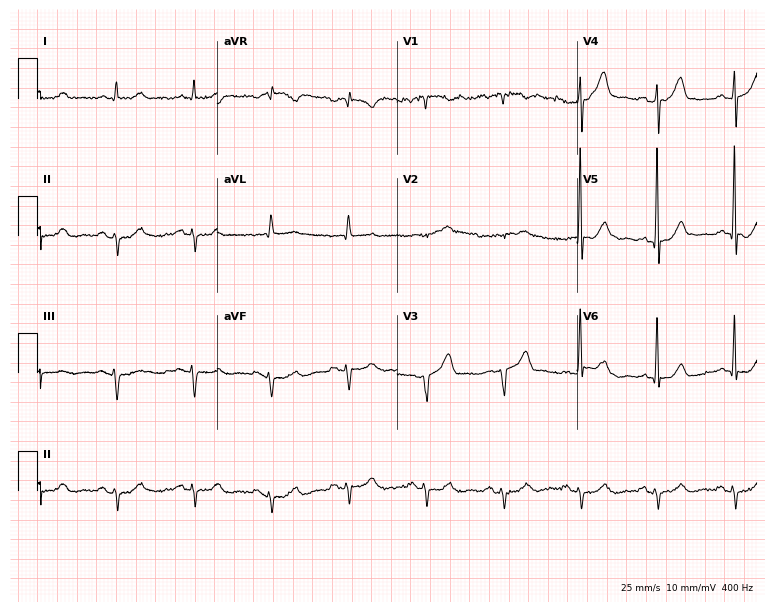
Electrocardiogram (7.3-second recording at 400 Hz), a male patient, 76 years old. Of the six screened findings (first-degree AV block, right bundle branch block, left bundle branch block, sinus bradycardia, atrial fibrillation, sinus tachycardia), none is recorded.